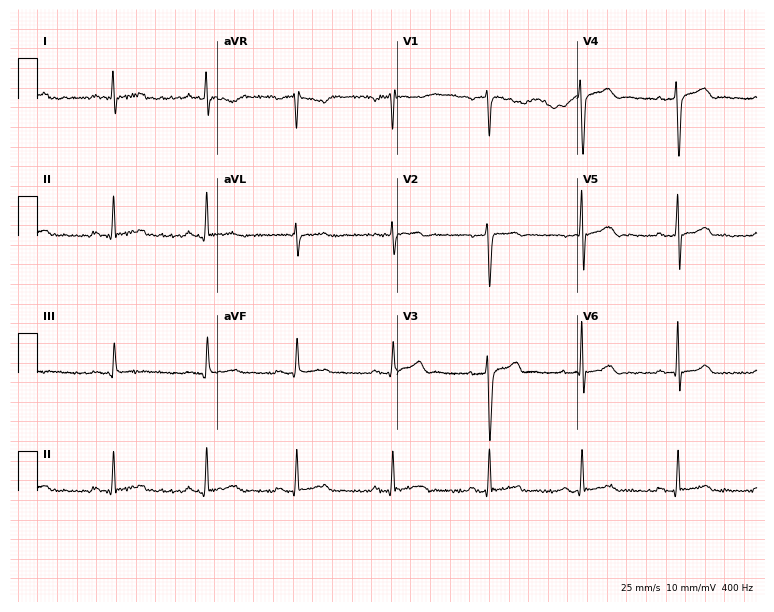
12-lead ECG from a male patient, 37 years old. No first-degree AV block, right bundle branch block (RBBB), left bundle branch block (LBBB), sinus bradycardia, atrial fibrillation (AF) or sinus tachycardia recorded for this tracing.